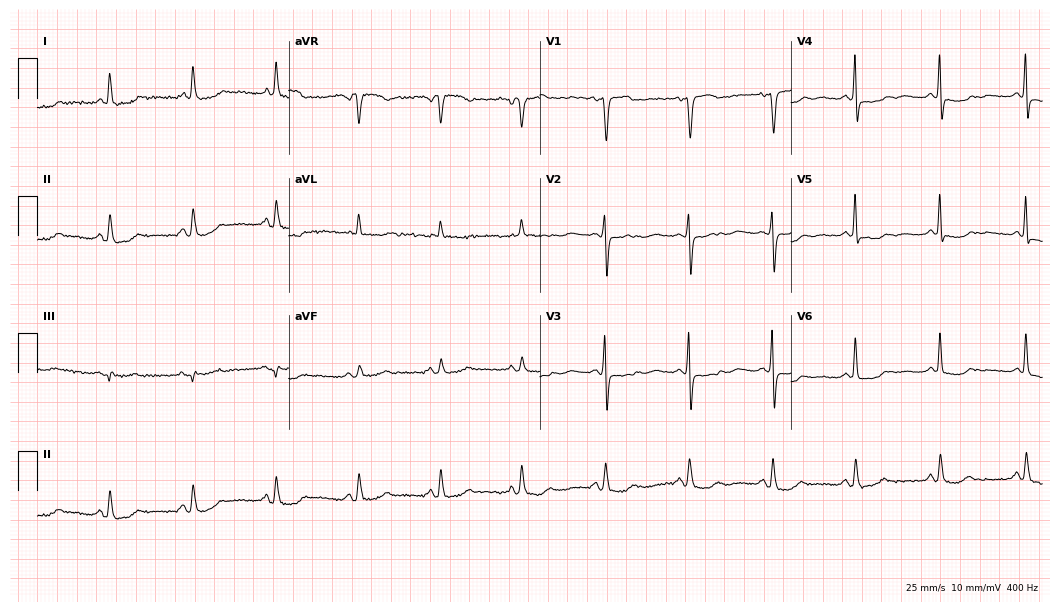
12-lead ECG from a female, 54 years old. Screened for six findings — first-degree AV block, right bundle branch block, left bundle branch block, sinus bradycardia, atrial fibrillation, sinus tachycardia — none is recorded.